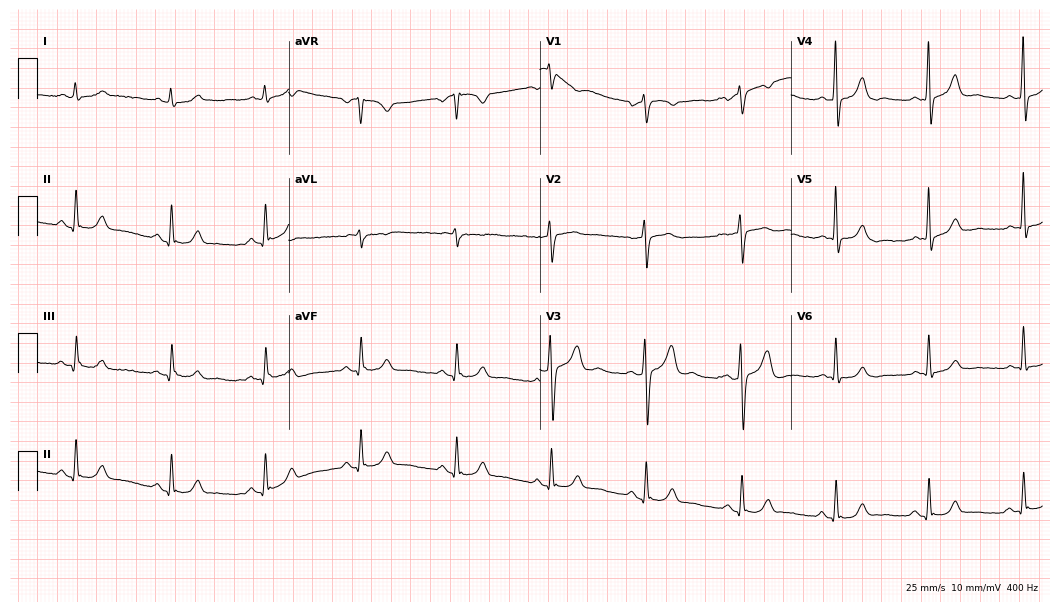
12-lead ECG from a male, 64 years old (10.2-second recording at 400 Hz). Recorded interpretation: within normal limits.